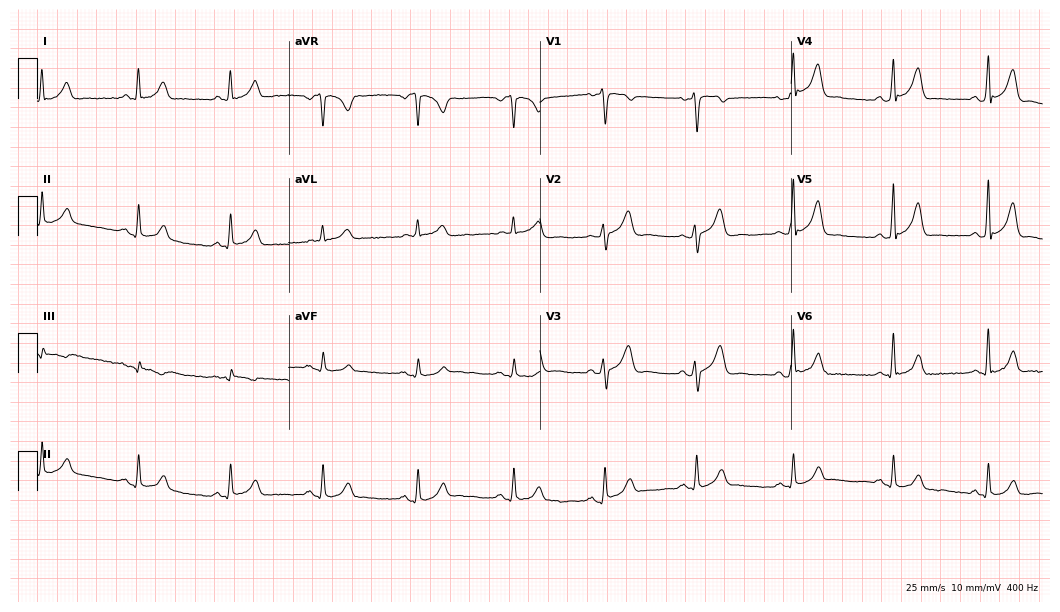
Resting 12-lead electrocardiogram. Patient: a 49-year-old male. Read as a normal ECG.